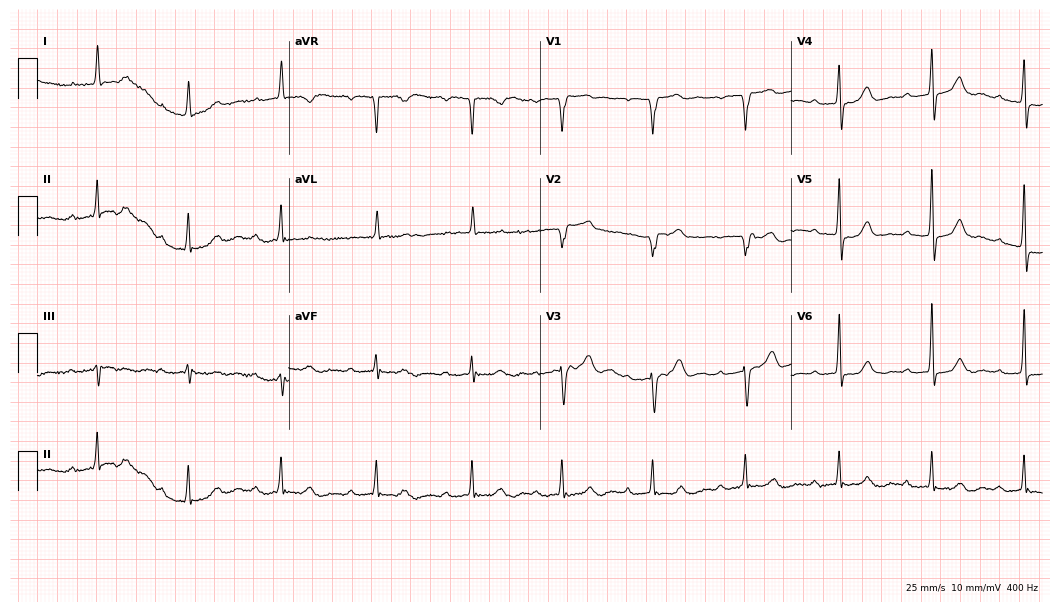
12-lead ECG from an 80-year-old woman (10.2-second recording at 400 Hz). No first-degree AV block, right bundle branch block, left bundle branch block, sinus bradycardia, atrial fibrillation or sinus tachycardia recorded for this tracing.